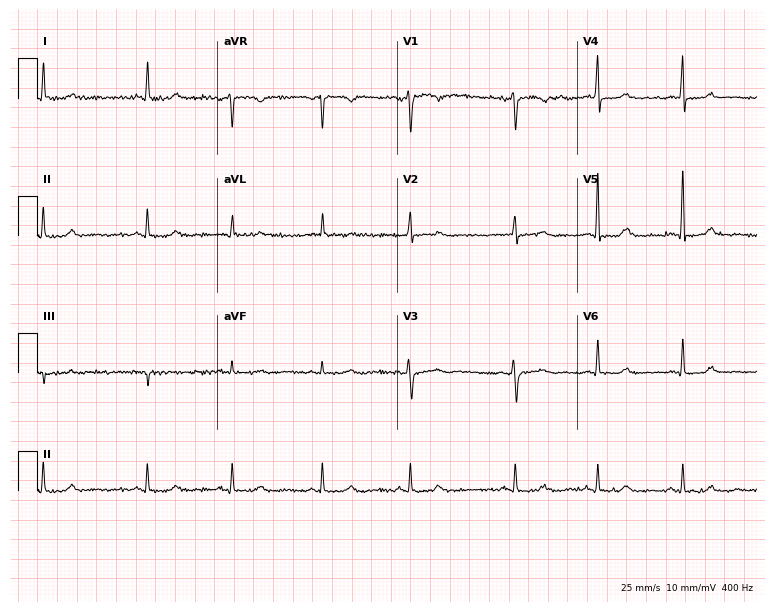
Electrocardiogram (7.3-second recording at 400 Hz), a 79-year-old woman. Of the six screened findings (first-degree AV block, right bundle branch block, left bundle branch block, sinus bradycardia, atrial fibrillation, sinus tachycardia), none is recorded.